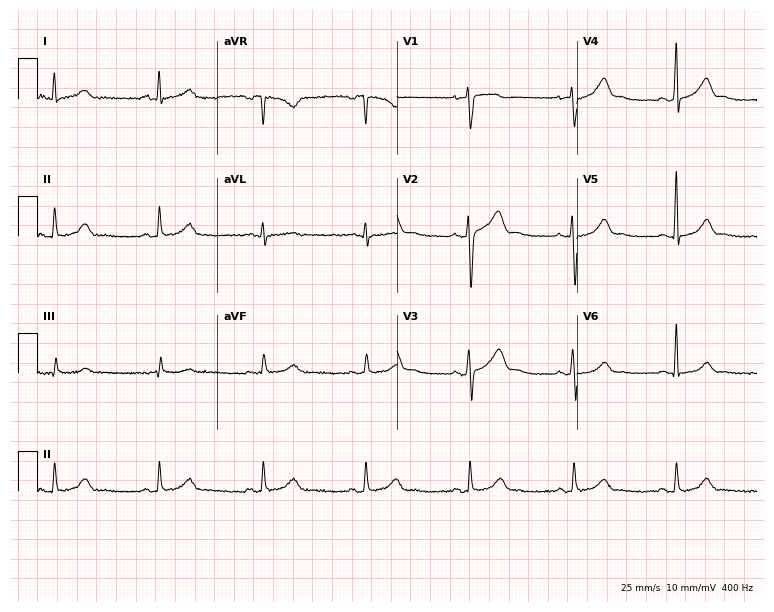
Standard 12-lead ECG recorded from a 41-year-old man (7.3-second recording at 400 Hz). Read as a normal ECG.